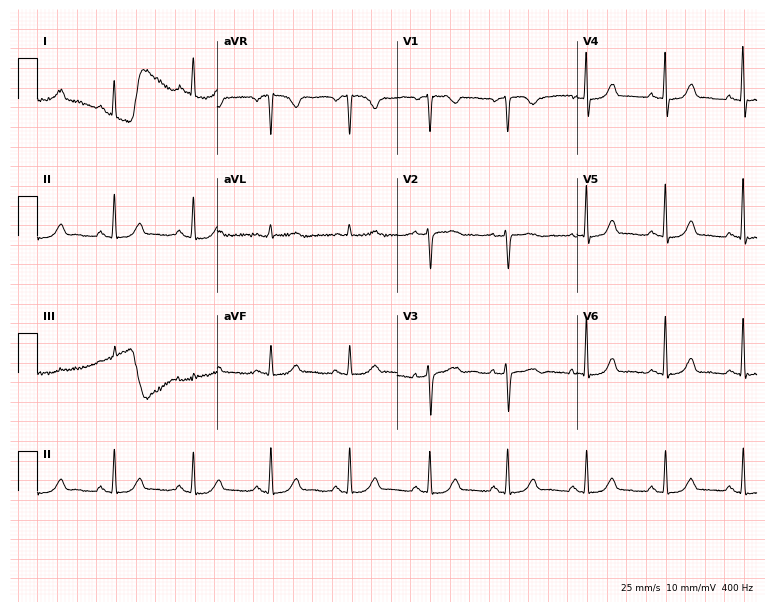
ECG (7.3-second recording at 400 Hz) — a female patient, 54 years old. Screened for six findings — first-degree AV block, right bundle branch block (RBBB), left bundle branch block (LBBB), sinus bradycardia, atrial fibrillation (AF), sinus tachycardia — none is recorded.